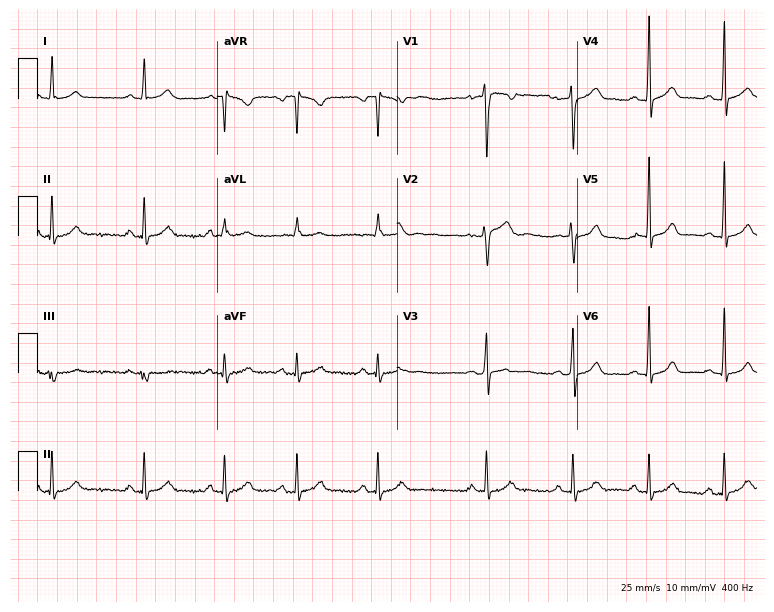
Standard 12-lead ECG recorded from a woman, 19 years old (7.3-second recording at 400 Hz). Read as a normal ECG.